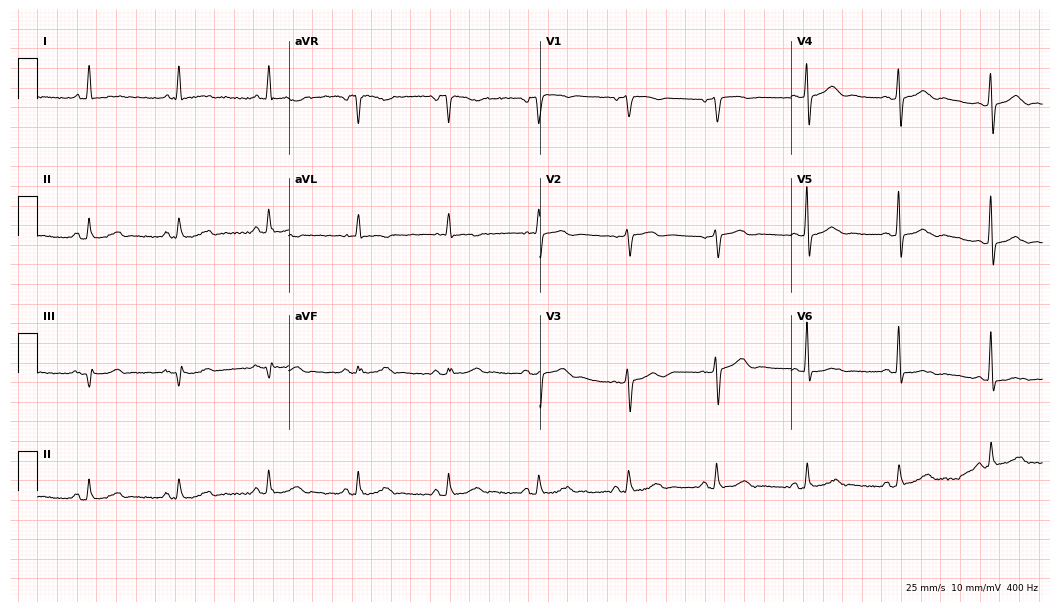
Electrocardiogram, a 67-year-old female patient. Overall reading on record: normal ECG.